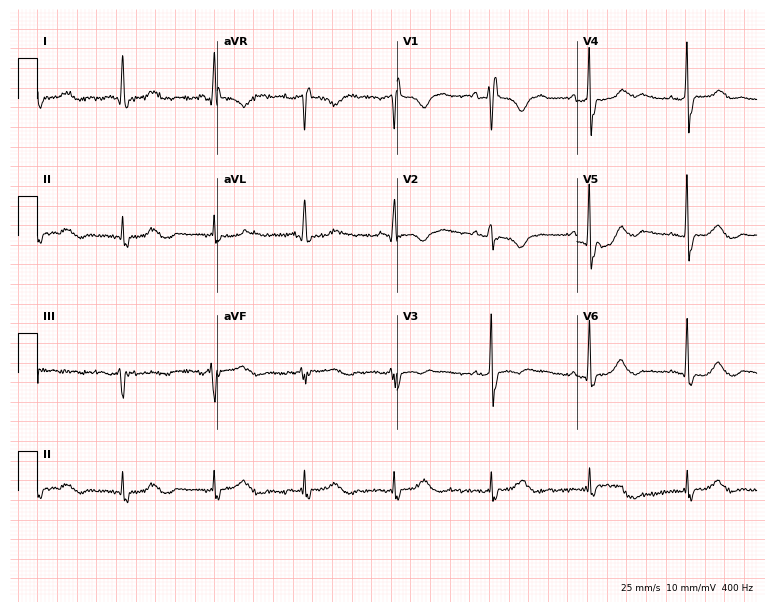
Electrocardiogram (7.3-second recording at 400 Hz), a woman, 51 years old. Interpretation includes right bundle branch block.